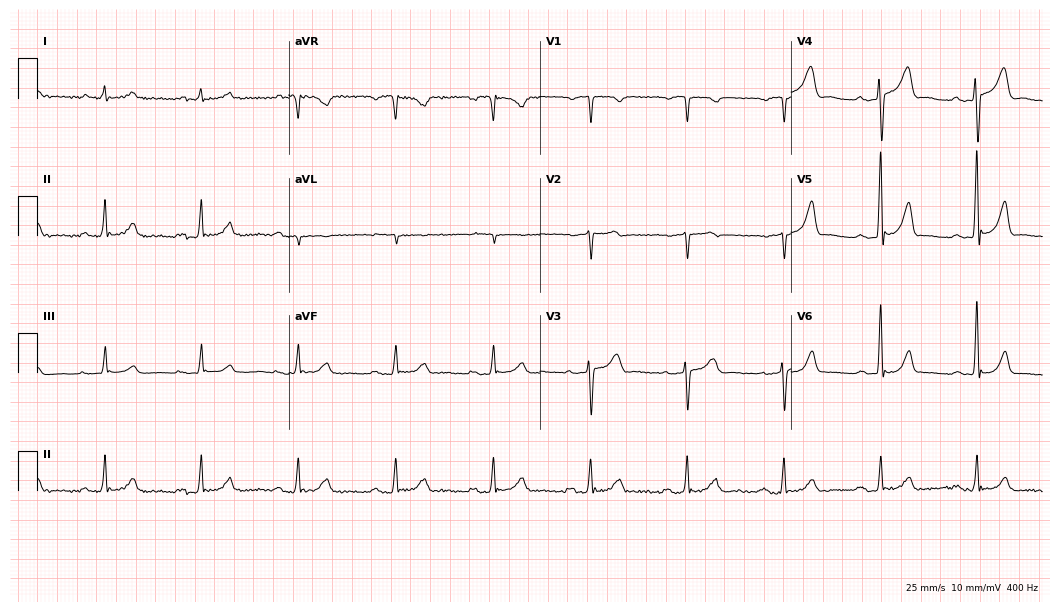
ECG (10.2-second recording at 400 Hz) — a male patient, 56 years old. Findings include first-degree AV block.